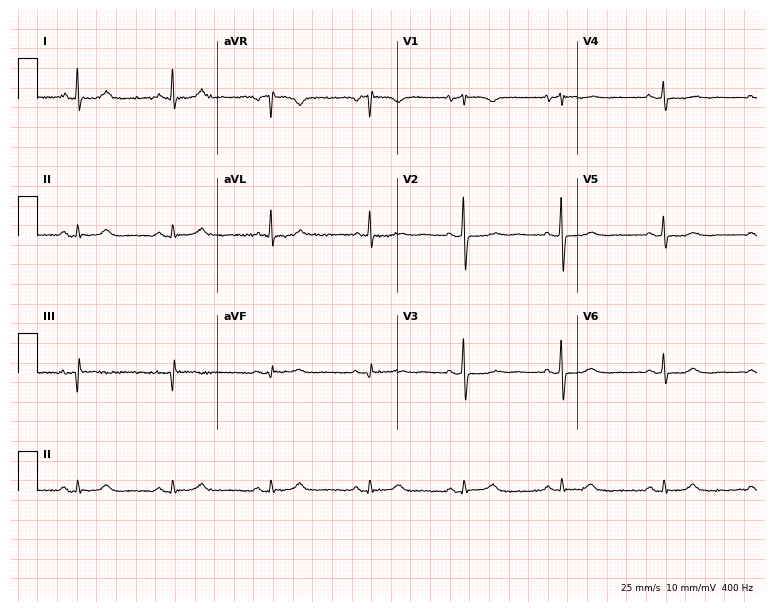
12-lead ECG (7.3-second recording at 400 Hz) from a female, 59 years old. Labelled as a normal ECG.